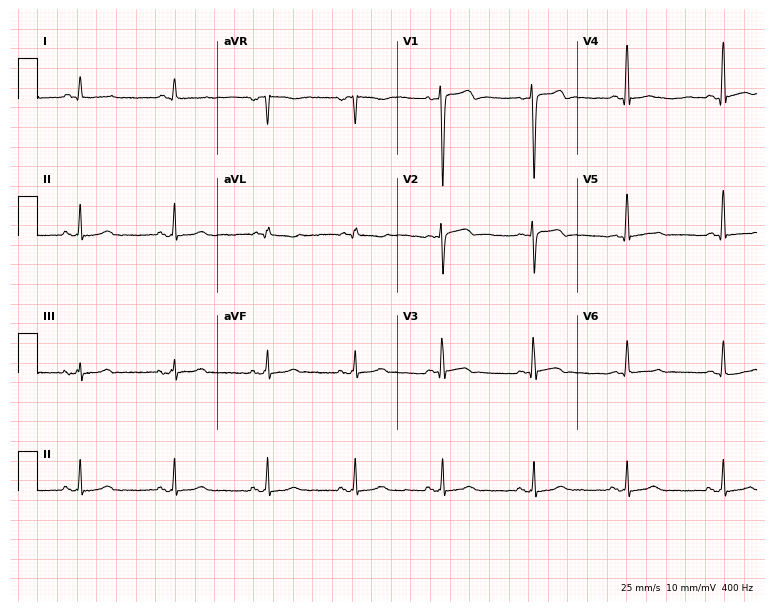
12-lead ECG (7.3-second recording at 400 Hz) from a 70-year-old man. Screened for six findings — first-degree AV block, right bundle branch block, left bundle branch block, sinus bradycardia, atrial fibrillation, sinus tachycardia — none is recorded. Findings outside these six are not listed.